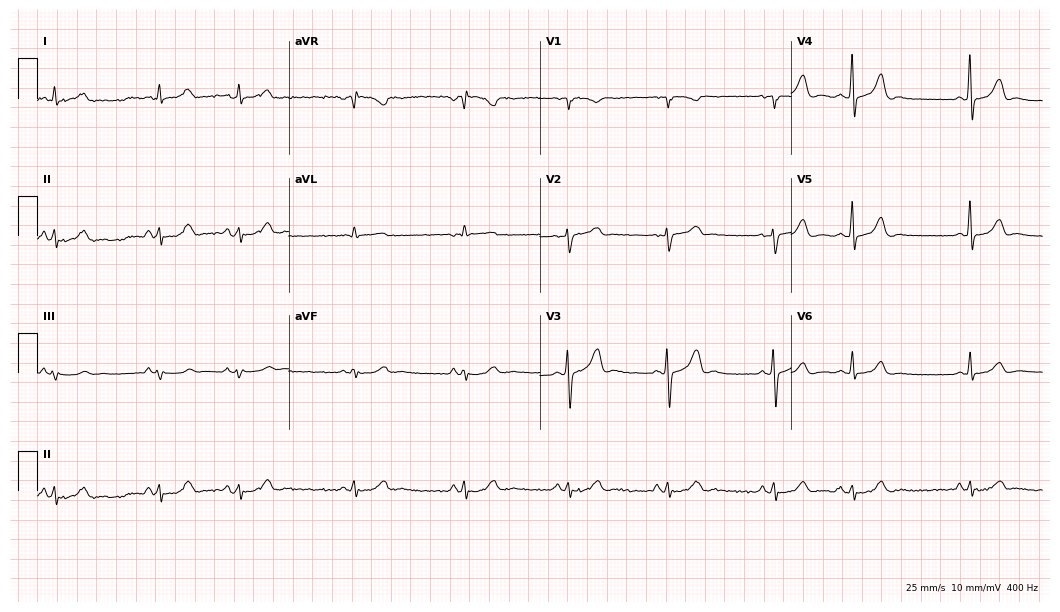
ECG (10.2-second recording at 400 Hz) — a female patient, 48 years old. Labelled as a normal ECG.